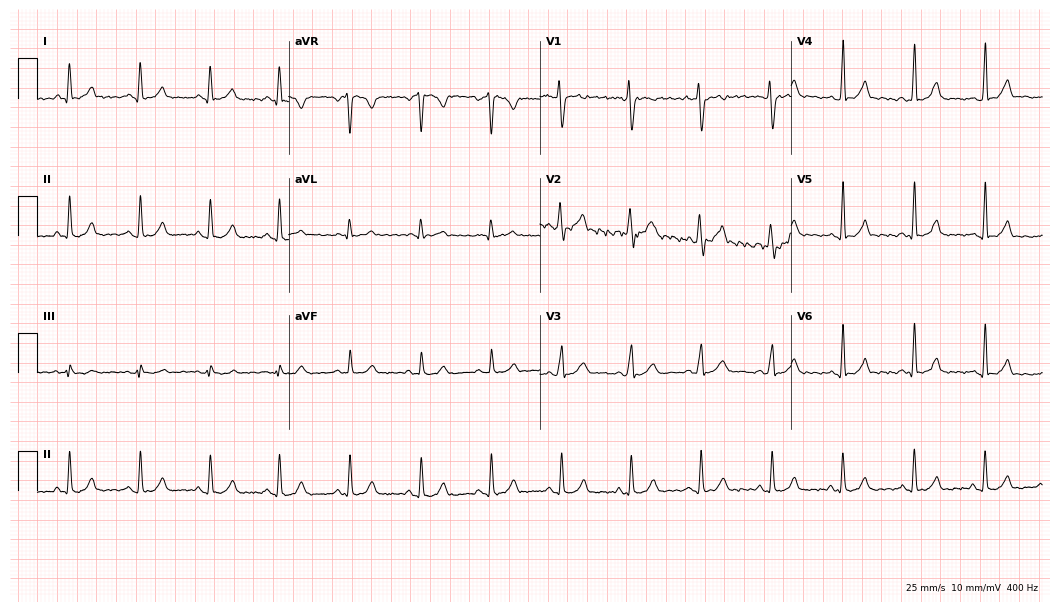
12-lead ECG from a 32-year-old female patient. Recorded interpretation: within normal limits.